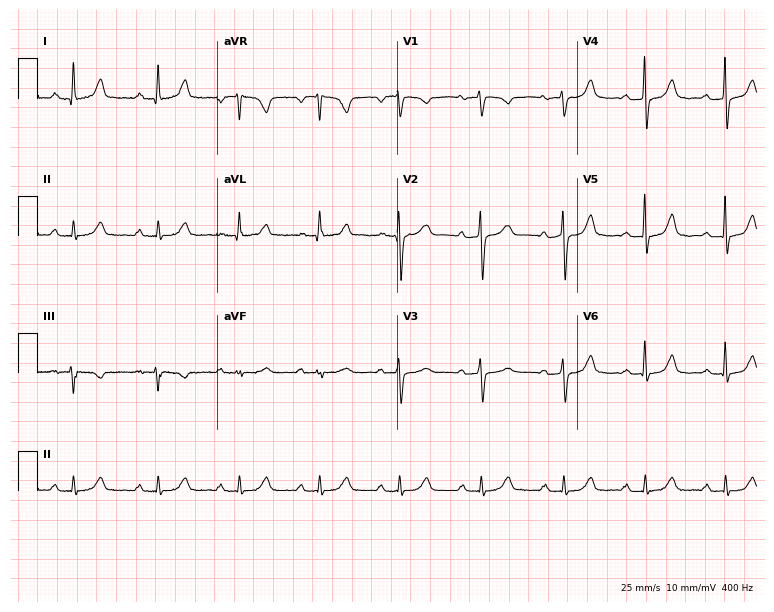
Electrocardiogram, a 57-year-old female. Interpretation includes first-degree AV block.